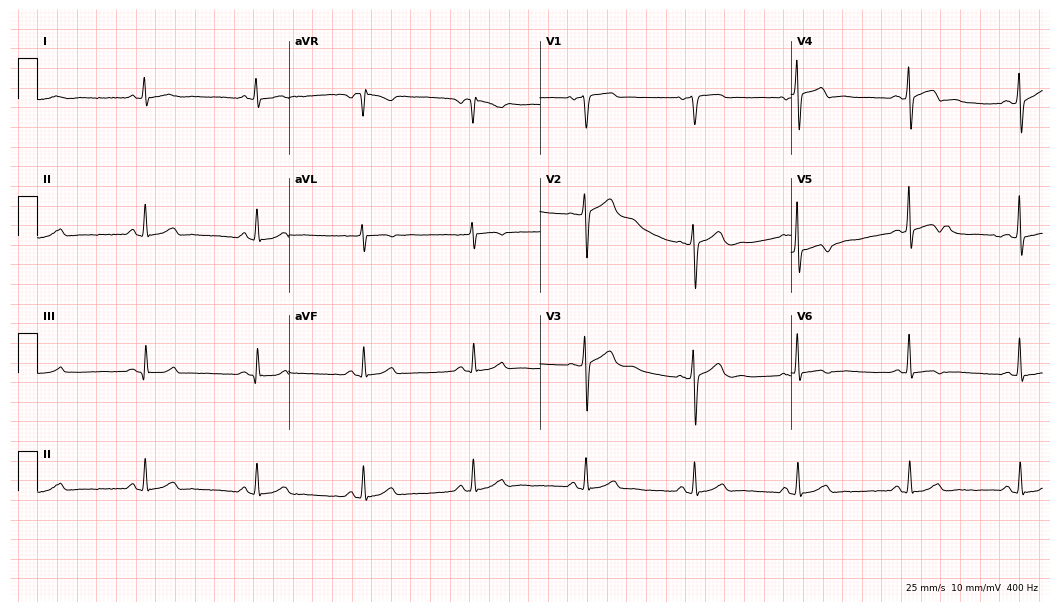
Standard 12-lead ECG recorded from a 56-year-old male. None of these six findings is recorded: first-degree AV block, right bundle branch block, left bundle branch block, sinus bradycardia, atrial fibrillation, sinus tachycardia. Findings outside these six are not listed.